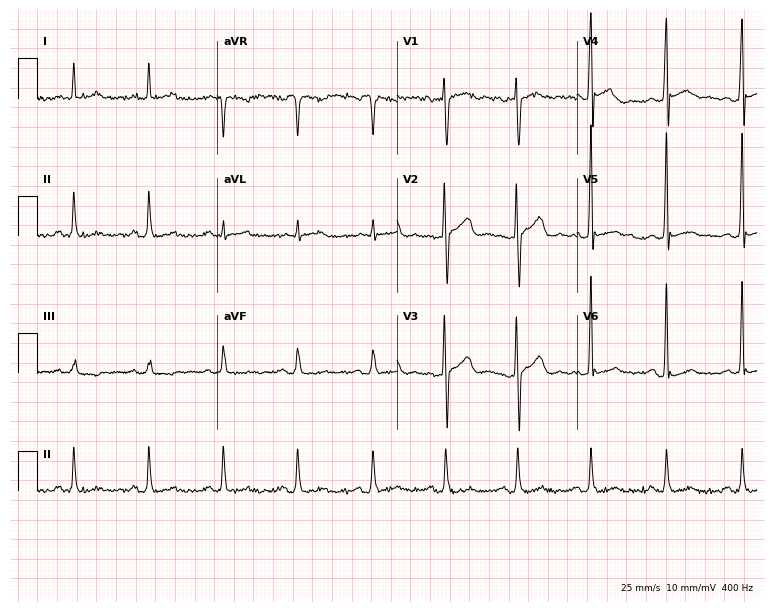
ECG — a man, 49 years old. Labelled as a normal ECG.